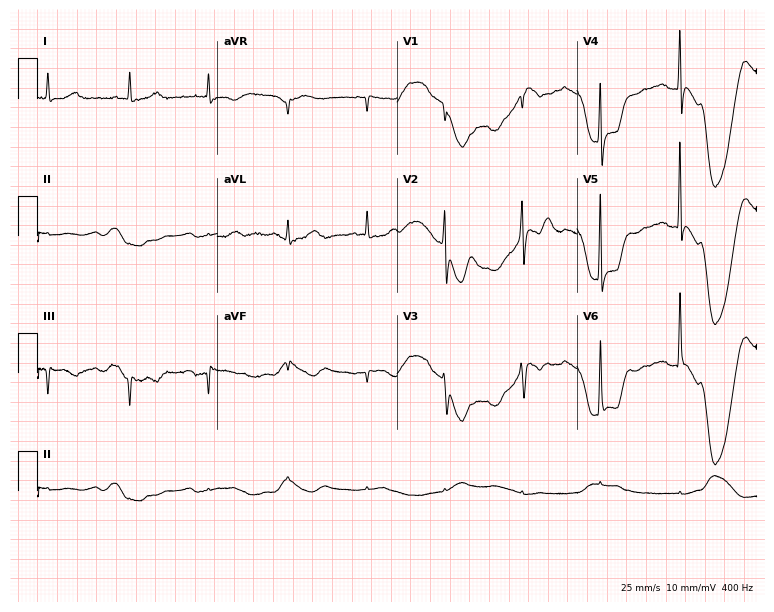
12-lead ECG from a female, 83 years old. Screened for six findings — first-degree AV block, right bundle branch block, left bundle branch block, sinus bradycardia, atrial fibrillation, sinus tachycardia — none is recorded. Other findings, if any, are not listed.